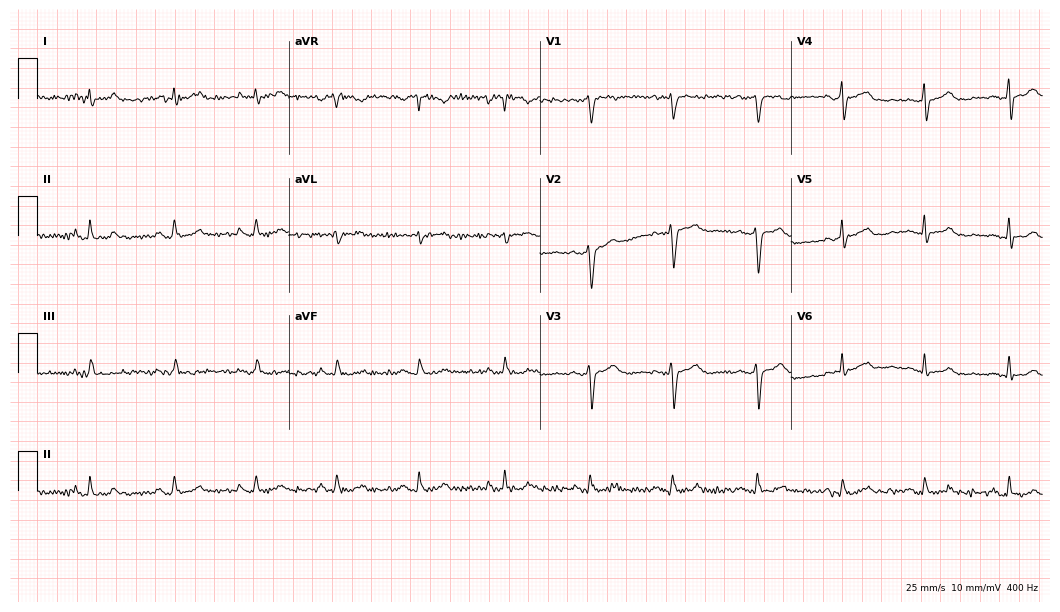
ECG — a 51-year-old female patient. Screened for six findings — first-degree AV block, right bundle branch block, left bundle branch block, sinus bradycardia, atrial fibrillation, sinus tachycardia — none is recorded.